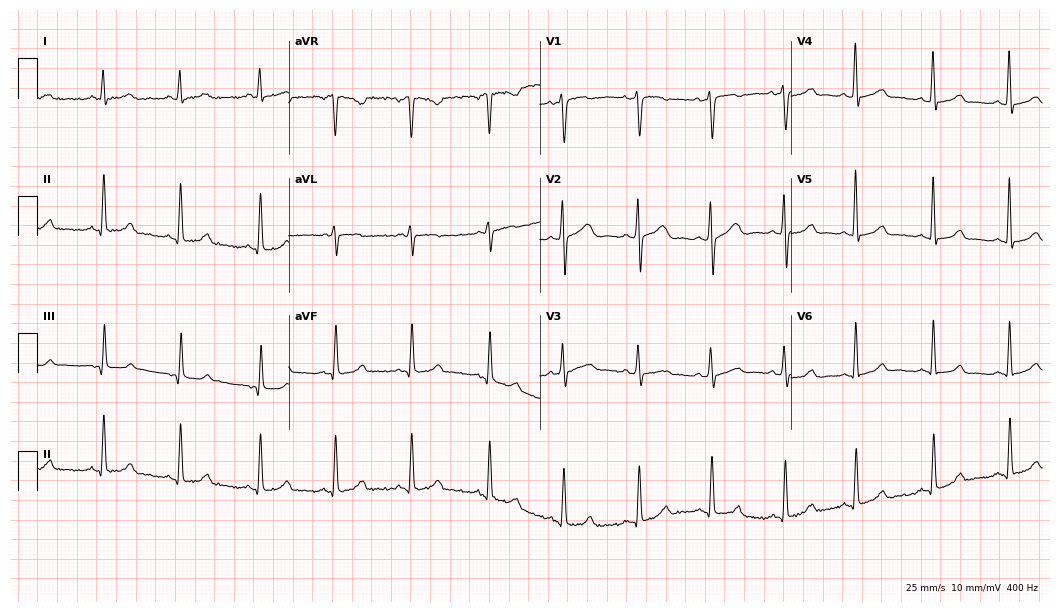
Electrocardiogram, a female patient, 32 years old. Of the six screened findings (first-degree AV block, right bundle branch block, left bundle branch block, sinus bradycardia, atrial fibrillation, sinus tachycardia), none is recorded. Other findings, if any, are not listed.